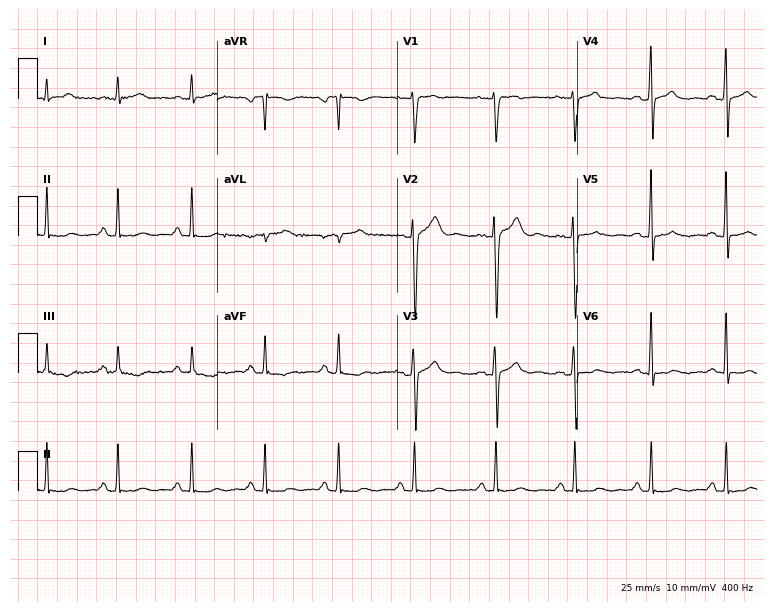
ECG — a 43-year-old male patient. Labelled as a normal ECG.